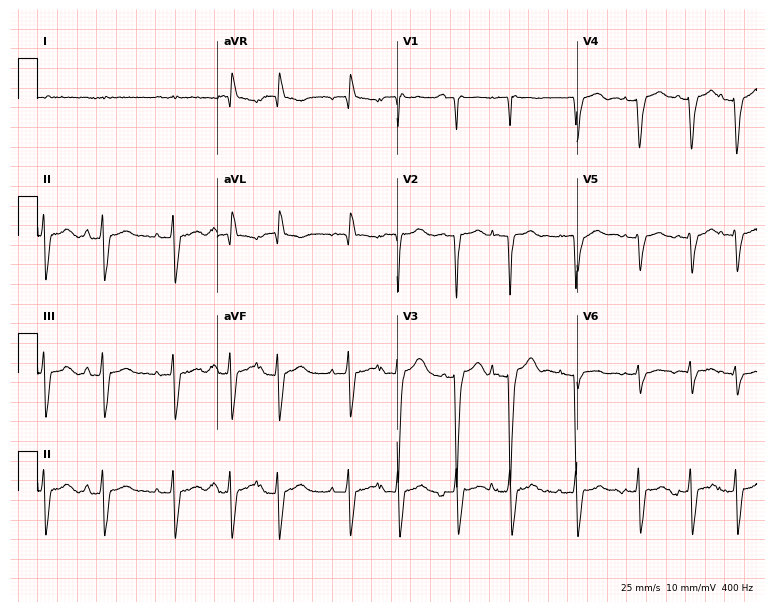
Resting 12-lead electrocardiogram. Patient: a male, 82 years old. None of these six findings is recorded: first-degree AV block, right bundle branch block, left bundle branch block, sinus bradycardia, atrial fibrillation, sinus tachycardia.